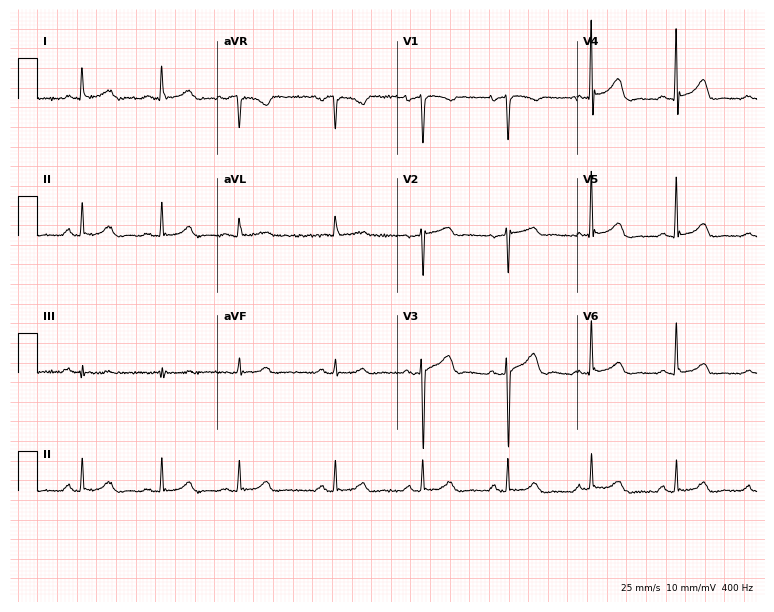
12-lead ECG from a 79-year-old female. Screened for six findings — first-degree AV block, right bundle branch block, left bundle branch block, sinus bradycardia, atrial fibrillation, sinus tachycardia — none is recorded.